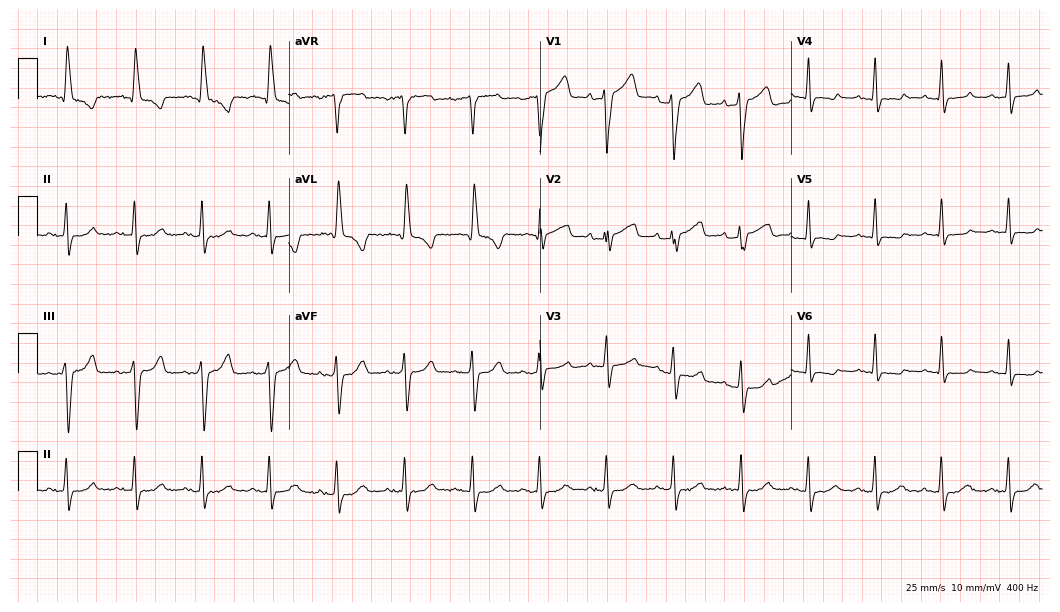
12-lead ECG from an 80-year-old female (10.2-second recording at 400 Hz). No first-degree AV block, right bundle branch block, left bundle branch block, sinus bradycardia, atrial fibrillation or sinus tachycardia recorded for this tracing. Other findings, if any, are not listed.